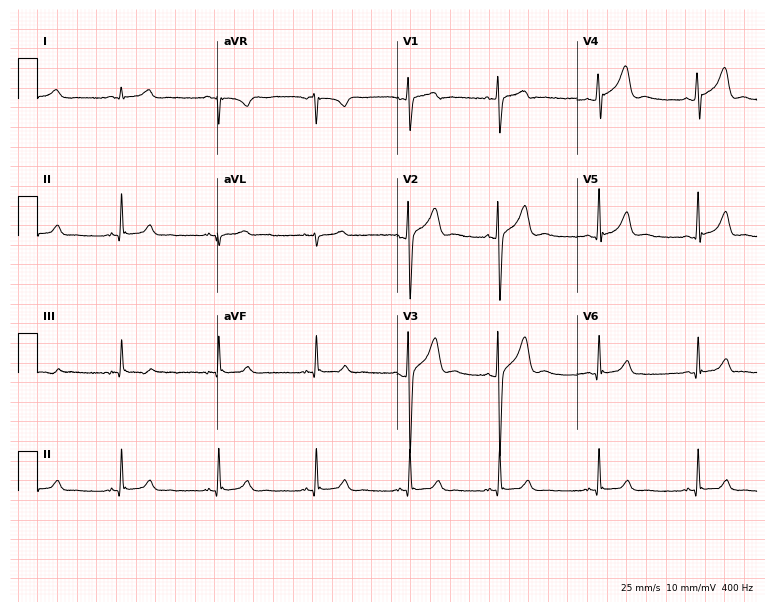
12-lead ECG (7.3-second recording at 400 Hz) from a 17-year-old male. Labelled as a normal ECG.